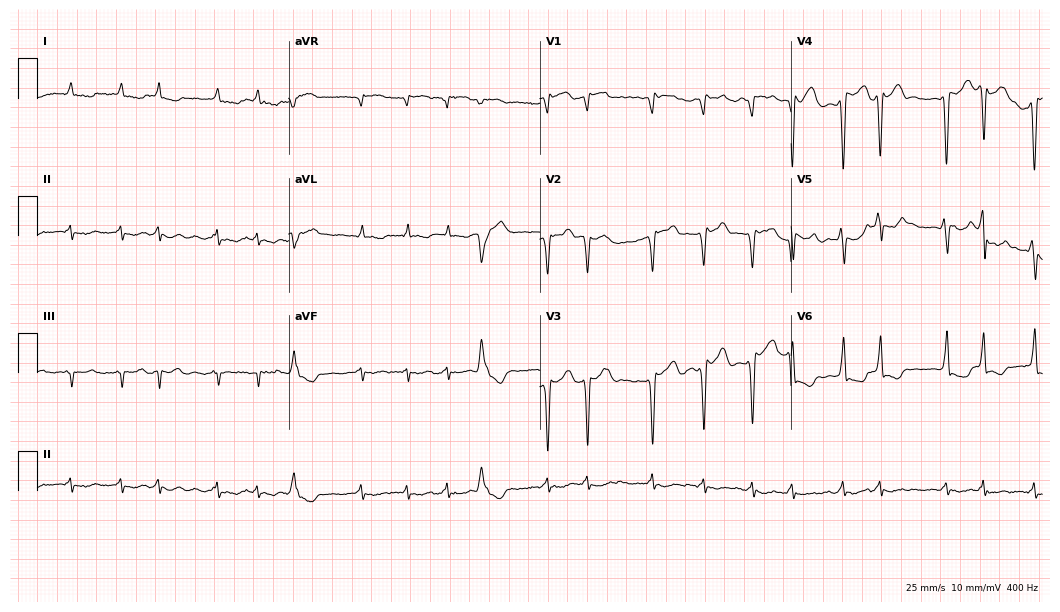
12-lead ECG from a male patient, 84 years old. Findings include atrial fibrillation (AF).